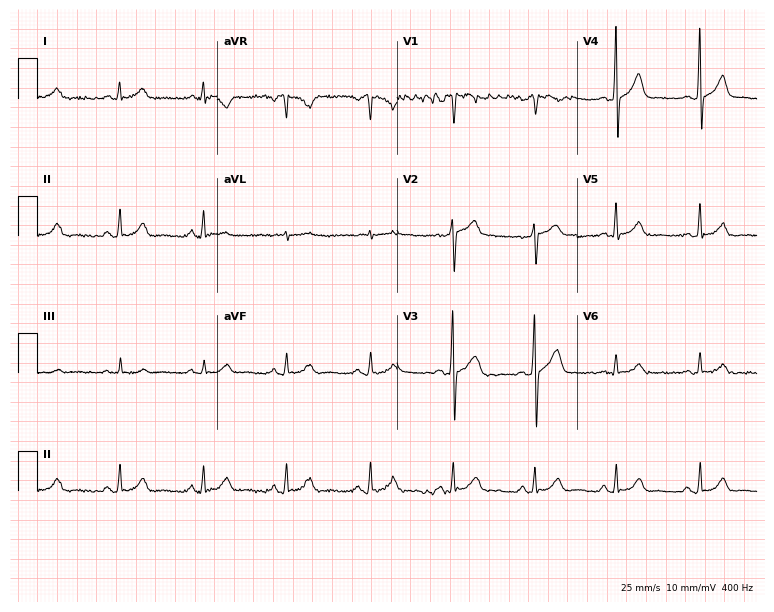
12-lead ECG from a man, 56 years old. Labelled as a normal ECG.